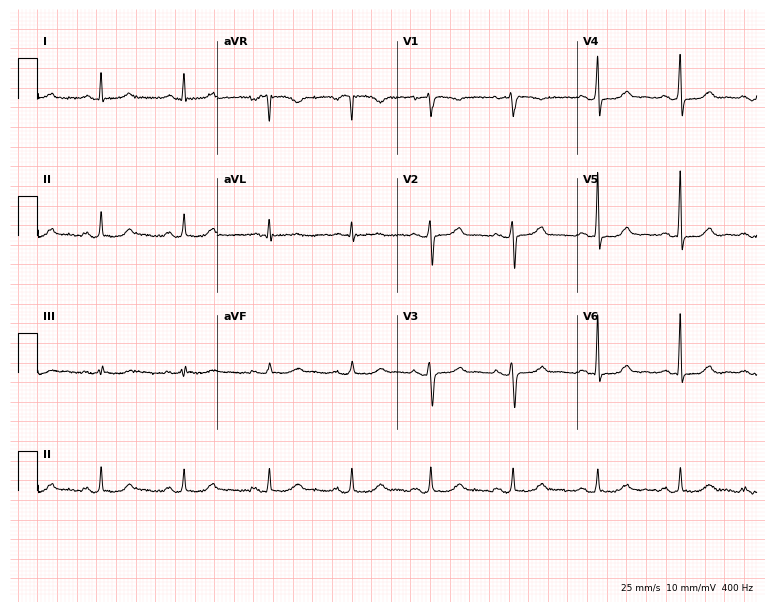
ECG — a 48-year-old female. Labelled as a normal ECG.